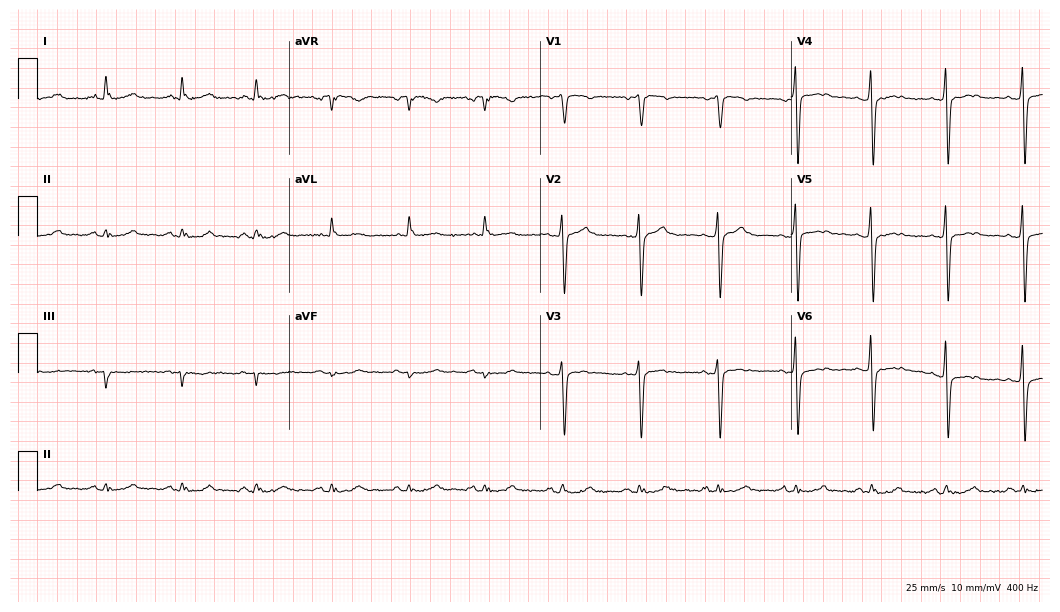
Standard 12-lead ECG recorded from a 63-year-old man (10.2-second recording at 400 Hz). None of these six findings is recorded: first-degree AV block, right bundle branch block, left bundle branch block, sinus bradycardia, atrial fibrillation, sinus tachycardia.